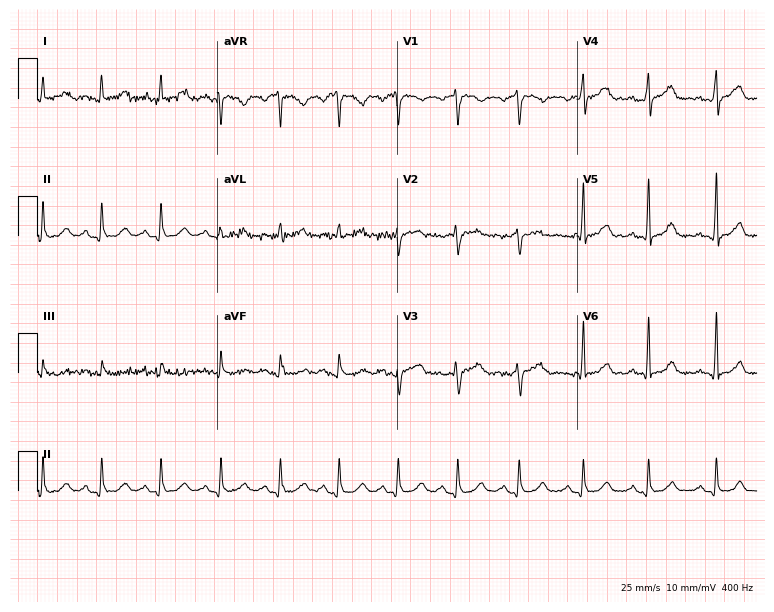
12-lead ECG from a 44-year-old female patient. No first-degree AV block, right bundle branch block (RBBB), left bundle branch block (LBBB), sinus bradycardia, atrial fibrillation (AF) or sinus tachycardia recorded for this tracing.